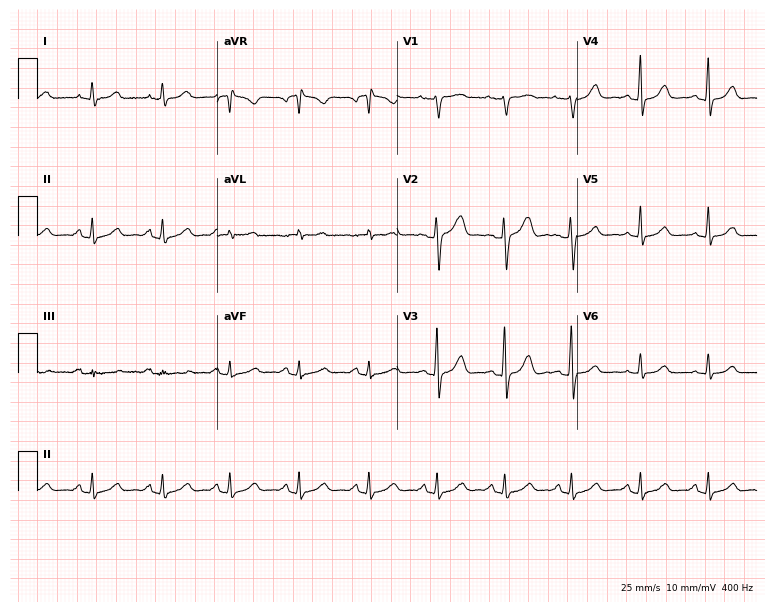
Electrocardiogram, a woman, 55 years old. Overall reading on record: normal ECG.